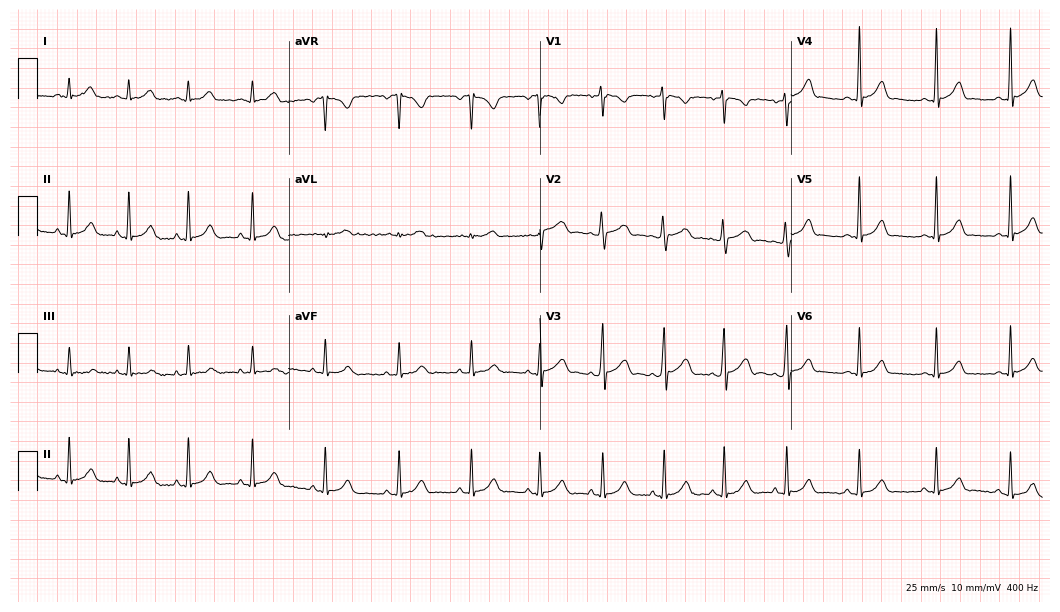
12-lead ECG from a woman, 25 years old. Recorded interpretation: within normal limits.